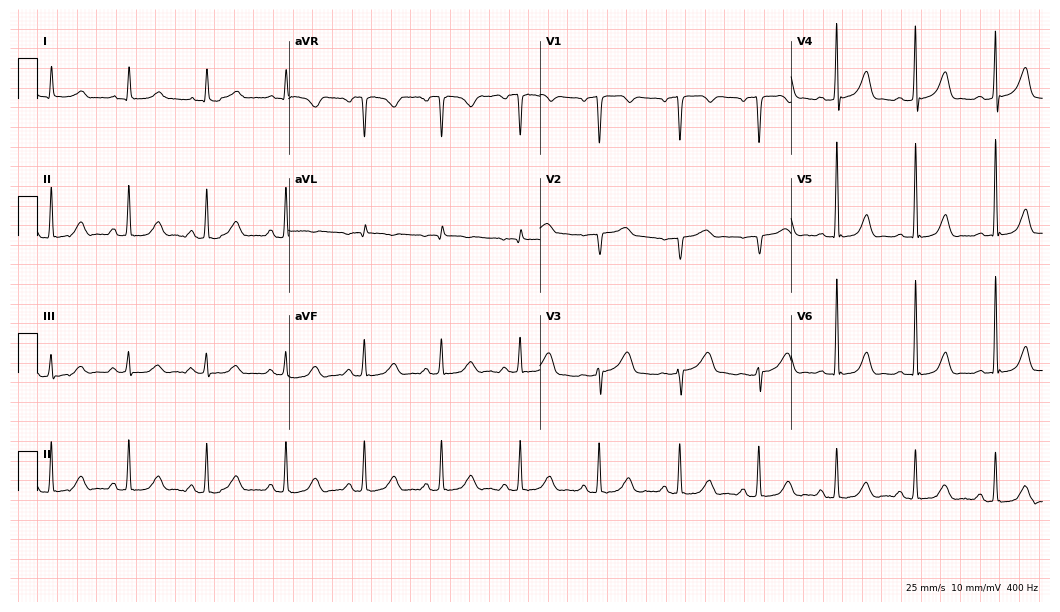
12-lead ECG from a 61-year-old man (10.2-second recording at 400 Hz). No first-degree AV block, right bundle branch block, left bundle branch block, sinus bradycardia, atrial fibrillation or sinus tachycardia recorded for this tracing.